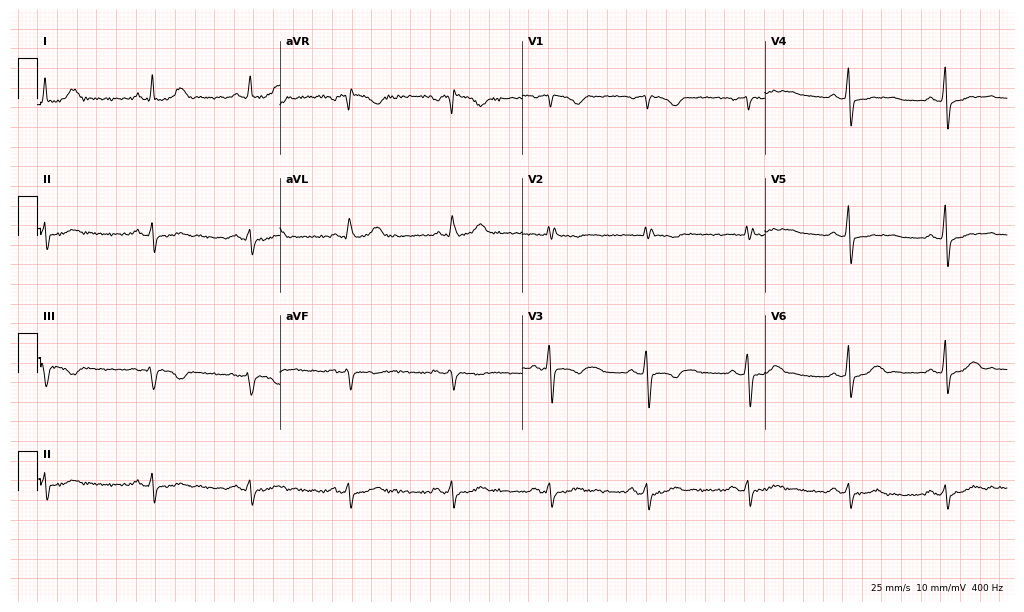
ECG — a female patient, 32 years old. Screened for six findings — first-degree AV block, right bundle branch block, left bundle branch block, sinus bradycardia, atrial fibrillation, sinus tachycardia — none is recorded.